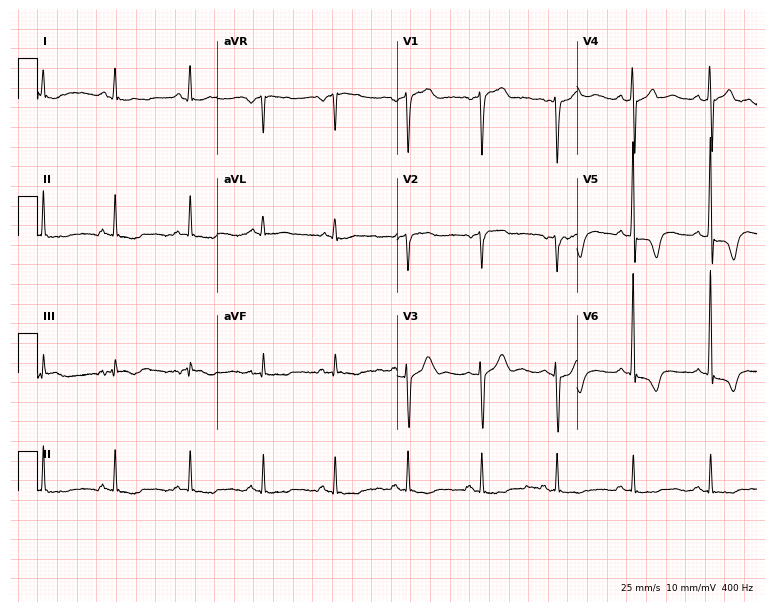
Standard 12-lead ECG recorded from a 49-year-old male (7.3-second recording at 400 Hz). None of these six findings is recorded: first-degree AV block, right bundle branch block, left bundle branch block, sinus bradycardia, atrial fibrillation, sinus tachycardia. Only these six findings were labelled.